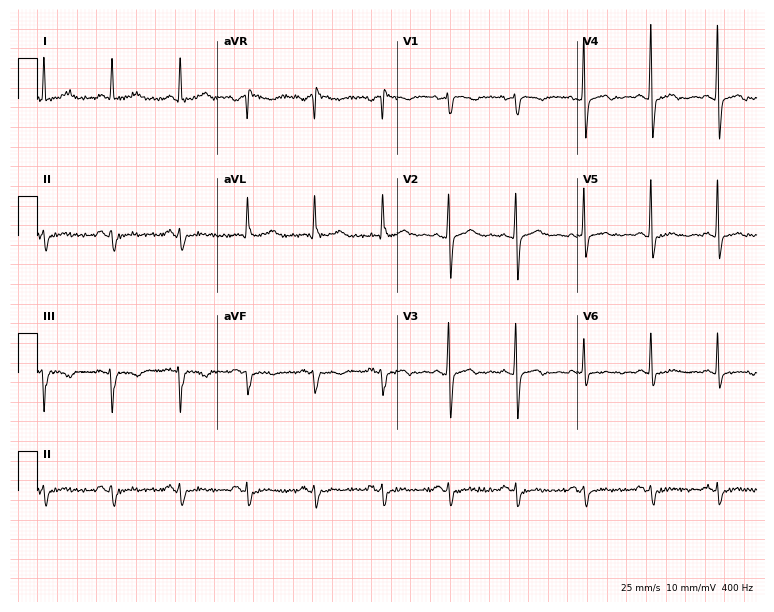
12-lead ECG (7.3-second recording at 400 Hz) from a woman, 73 years old. Screened for six findings — first-degree AV block, right bundle branch block, left bundle branch block, sinus bradycardia, atrial fibrillation, sinus tachycardia — none is recorded. Other findings, if any, are not listed.